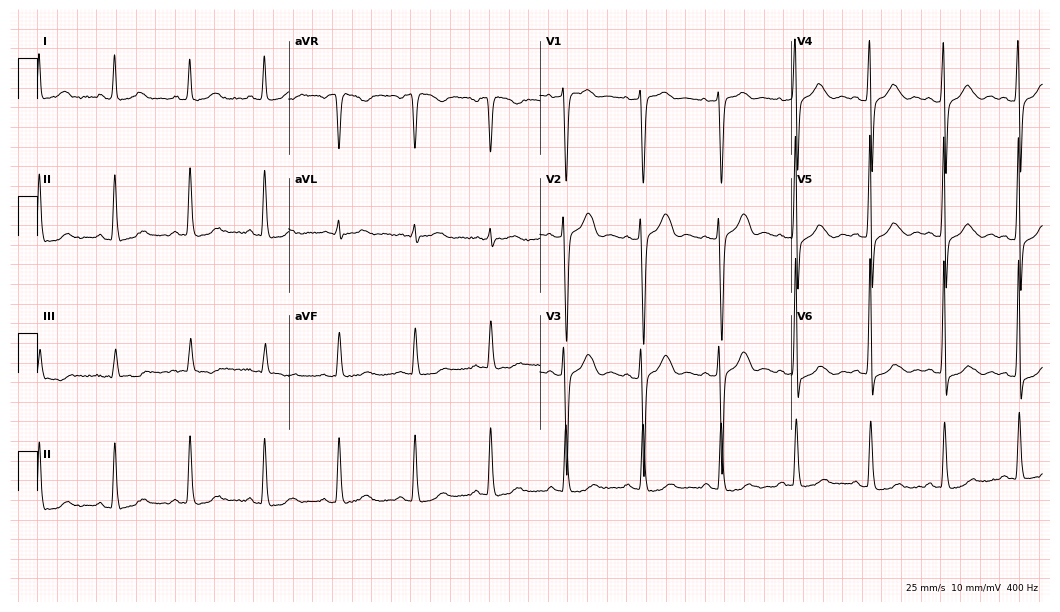
Standard 12-lead ECG recorded from a female patient, 61 years old. None of these six findings is recorded: first-degree AV block, right bundle branch block, left bundle branch block, sinus bradycardia, atrial fibrillation, sinus tachycardia.